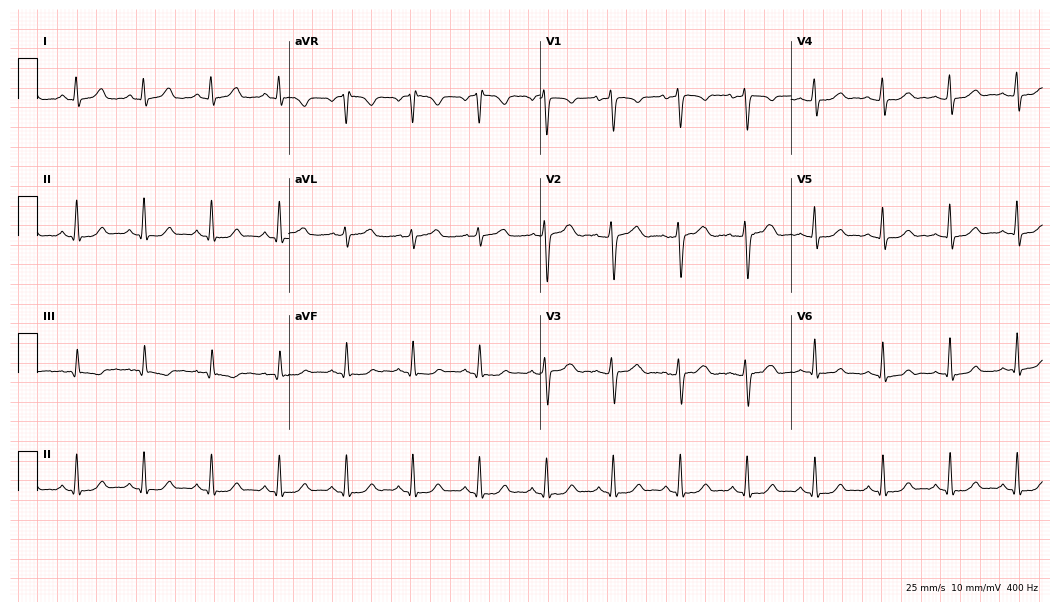
Electrocardiogram, a woman, 33 years old. Of the six screened findings (first-degree AV block, right bundle branch block, left bundle branch block, sinus bradycardia, atrial fibrillation, sinus tachycardia), none is recorded. Only these six findings were labelled.